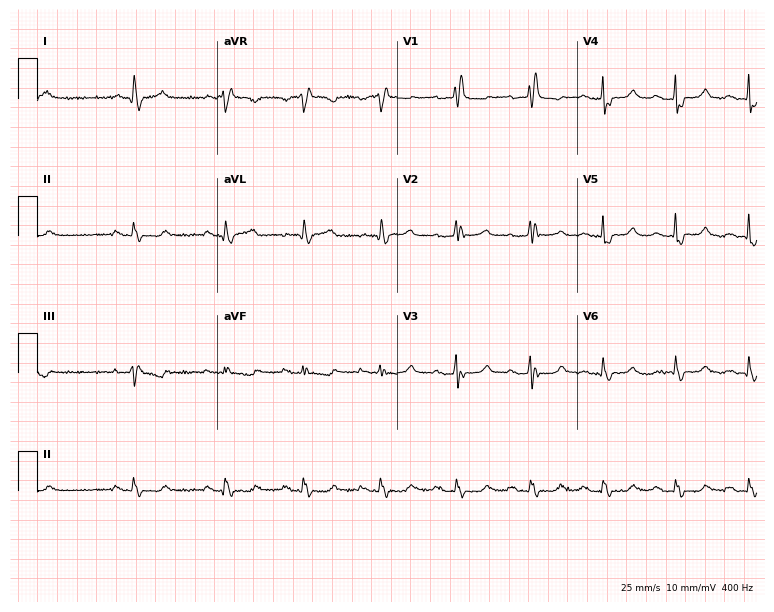
ECG — a 76-year-old female patient. Findings include right bundle branch block.